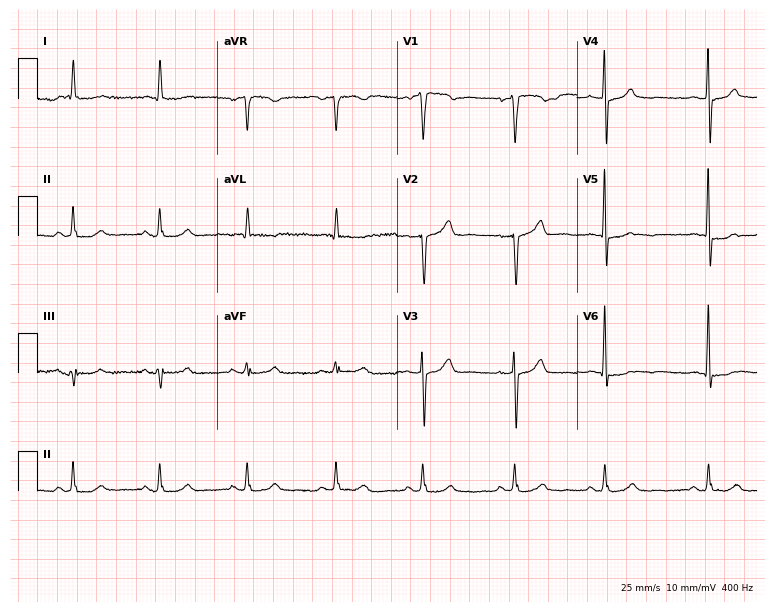
12-lead ECG (7.3-second recording at 400 Hz) from an 82-year-old man. Screened for six findings — first-degree AV block, right bundle branch block (RBBB), left bundle branch block (LBBB), sinus bradycardia, atrial fibrillation (AF), sinus tachycardia — none is recorded.